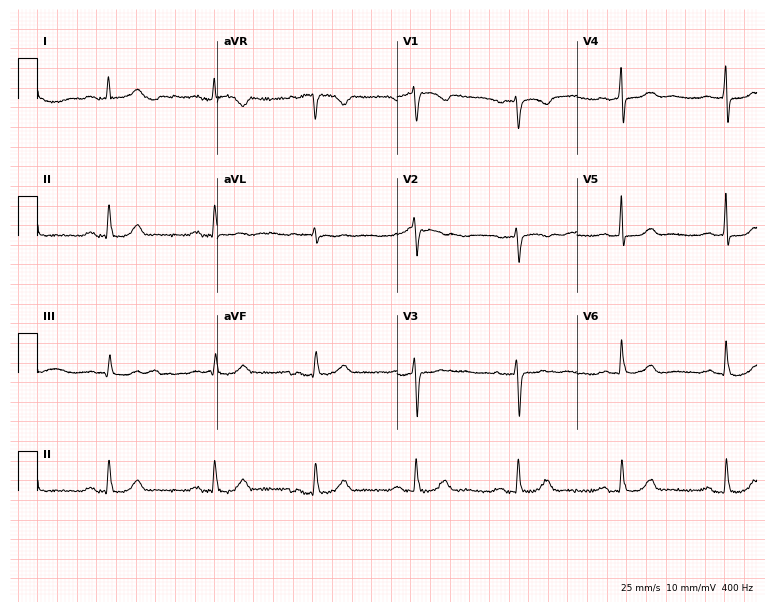
12-lead ECG from a female, 60 years old. Findings include first-degree AV block.